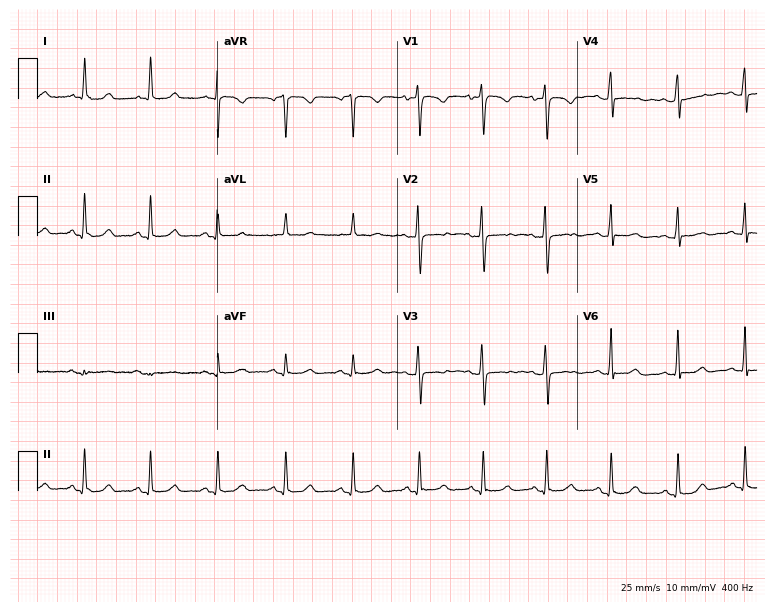
12-lead ECG from a 32-year-old female patient (7.3-second recording at 400 Hz). Recorded interpretation: within normal limits.